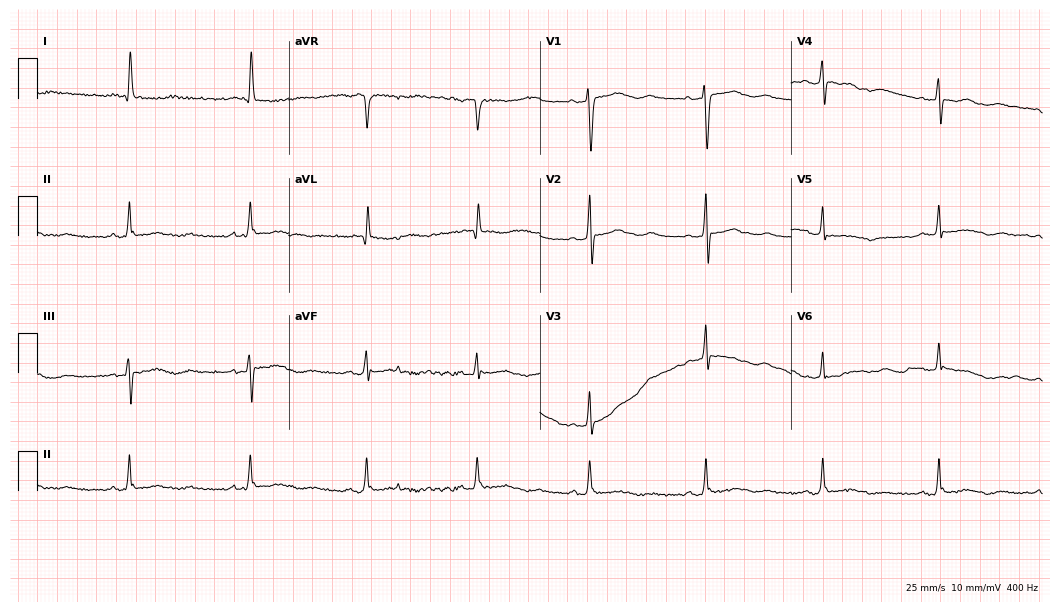
12-lead ECG (10.2-second recording at 400 Hz) from a 79-year-old female patient. Screened for six findings — first-degree AV block, right bundle branch block, left bundle branch block, sinus bradycardia, atrial fibrillation, sinus tachycardia — none is recorded. Findings outside these six are not listed.